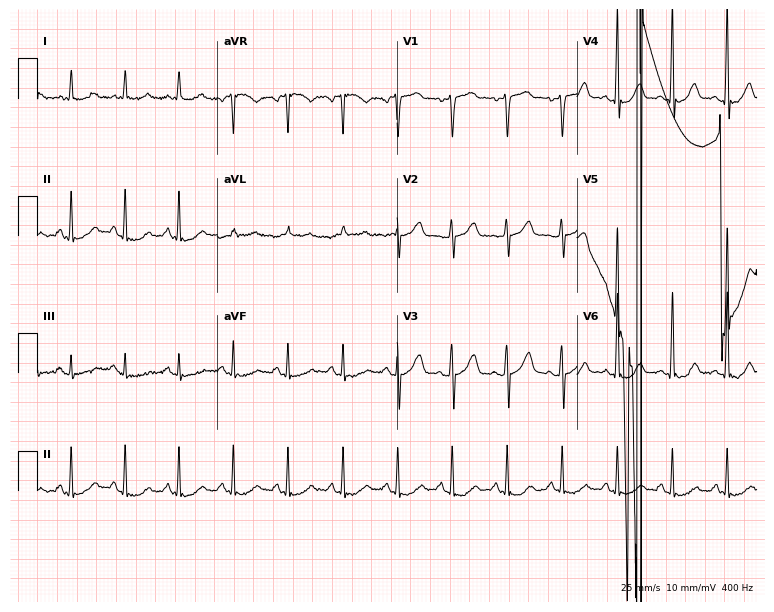
Electrocardiogram (7.3-second recording at 400 Hz), a male patient, 69 years old. Interpretation includes sinus tachycardia (a sinus rate of 100 beats per minute or more).